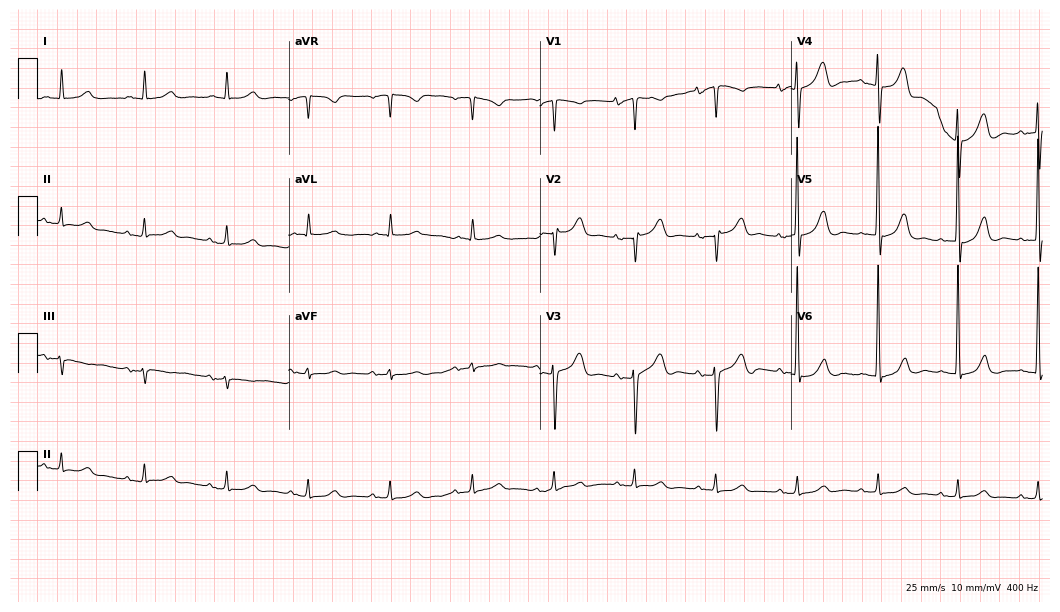
Resting 12-lead electrocardiogram. Patient: a female, 85 years old. None of these six findings is recorded: first-degree AV block, right bundle branch block, left bundle branch block, sinus bradycardia, atrial fibrillation, sinus tachycardia.